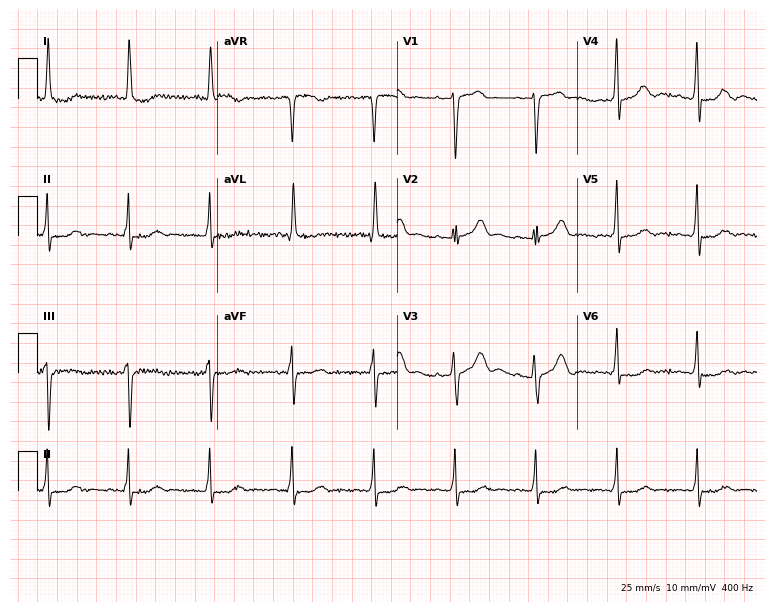
12-lead ECG from a 76-year-old woman. Recorded interpretation: within normal limits.